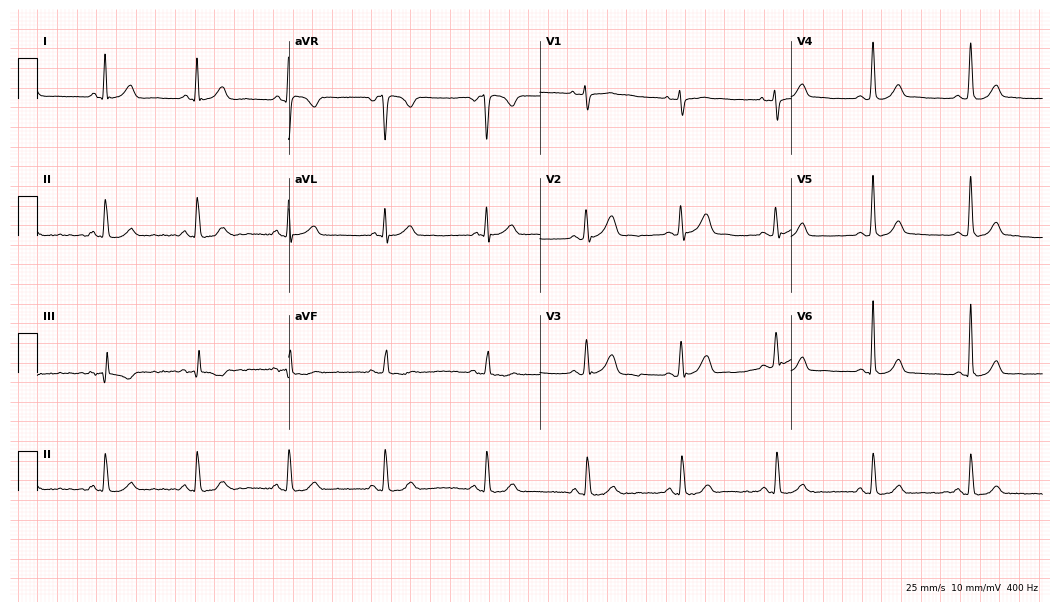
12-lead ECG (10.2-second recording at 400 Hz) from a male, 32 years old. Labelled as a normal ECG.